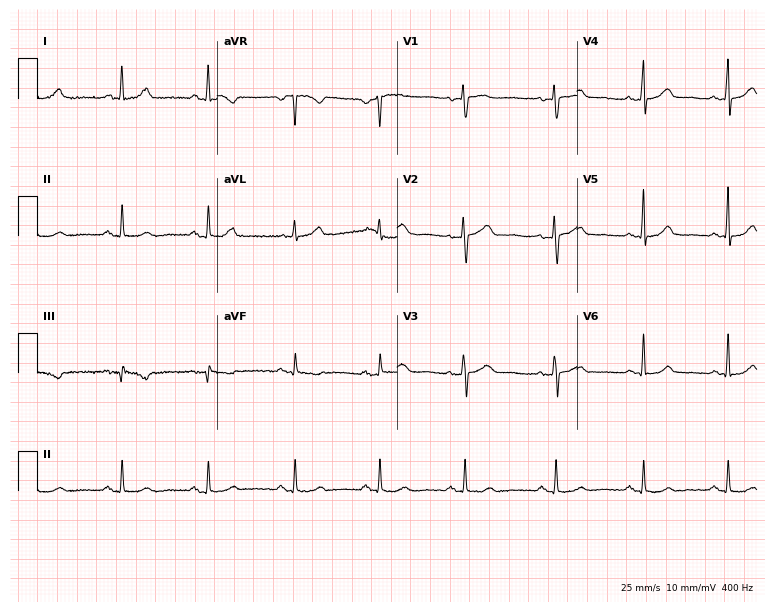
Electrocardiogram (7.3-second recording at 400 Hz), a 47-year-old female patient. Overall reading on record: normal ECG.